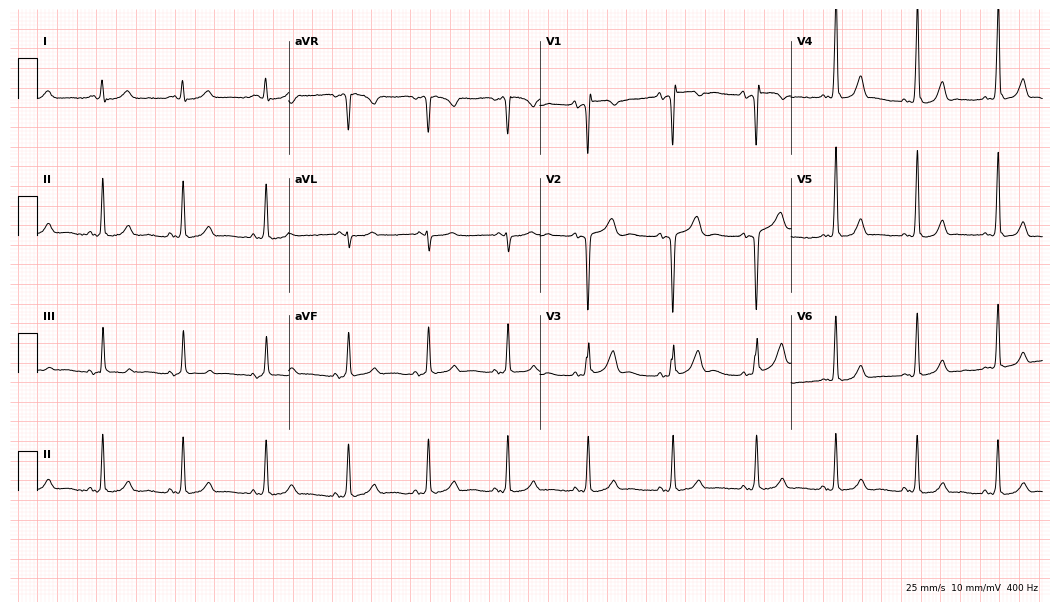
12-lead ECG from a 31-year-old female (10.2-second recording at 400 Hz). Recorded interpretation: within normal limits.